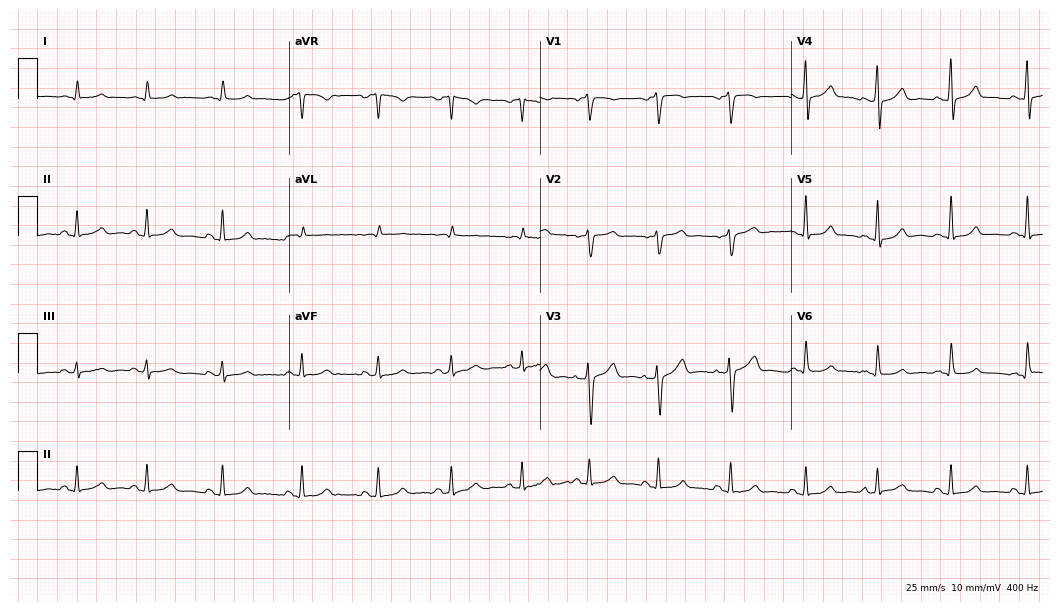
Resting 12-lead electrocardiogram. Patient: a 22-year-old female. Read as a normal ECG.